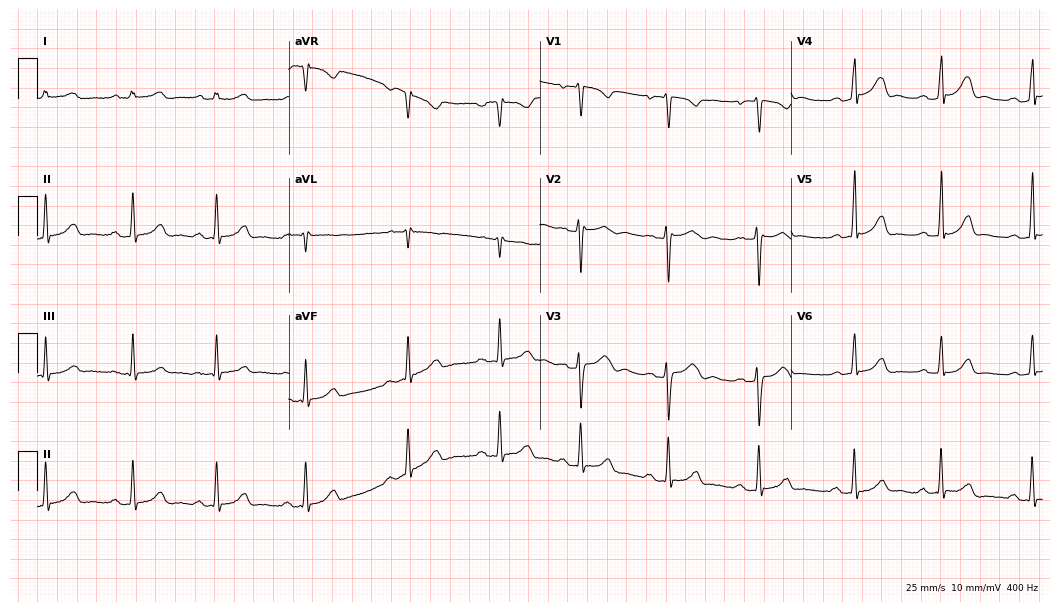
Electrocardiogram, a female patient, 19 years old. Of the six screened findings (first-degree AV block, right bundle branch block (RBBB), left bundle branch block (LBBB), sinus bradycardia, atrial fibrillation (AF), sinus tachycardia), none is recorded. Other findings, if any, are not listed.